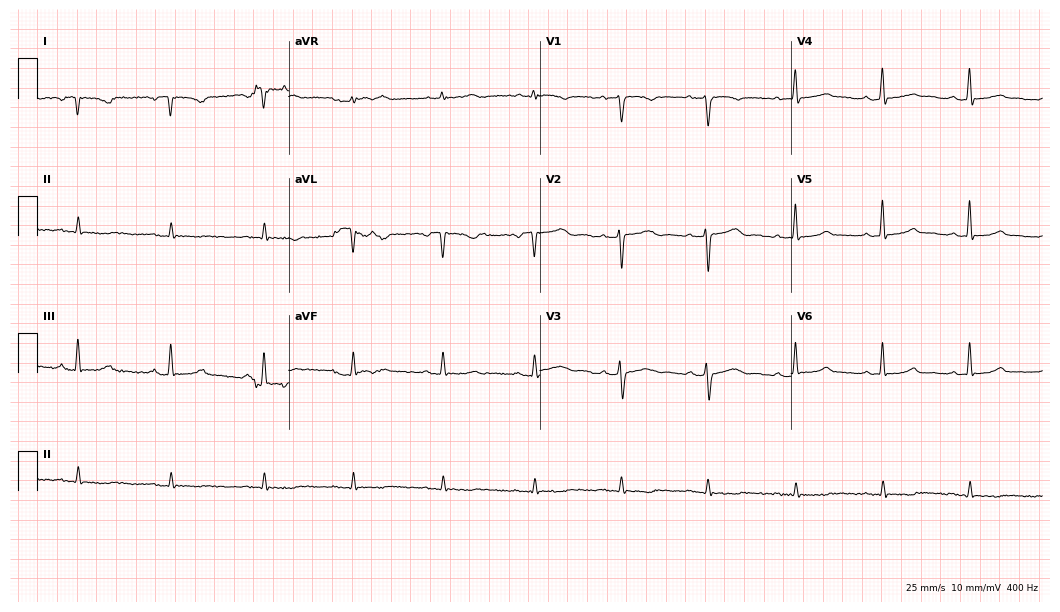
Electrocardiogram, a woman, 41 years old. Of the six screened findings (first-degree AV block, right bundle branch block, left bundle branch block, sinus bradycardia, atrial fibrillation, sinus tachycardia), none is recorded.